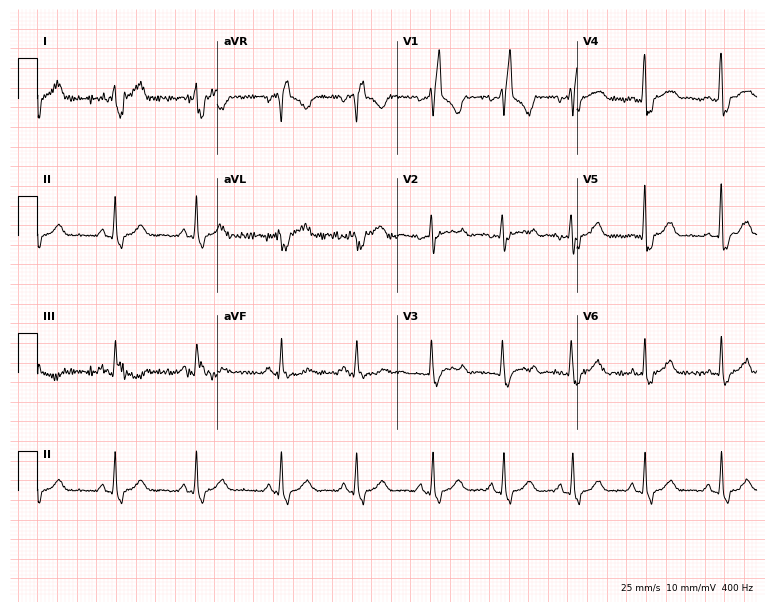
12-lead ECG from a female, 38 years old. Shows right bundle branch block.